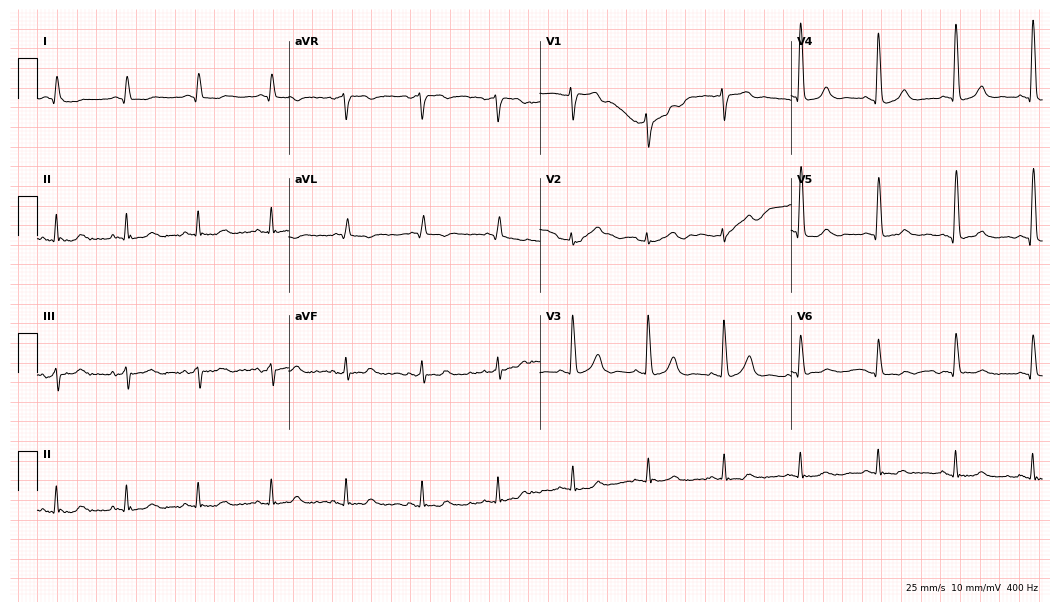
ECG (10.2-second recording at 400 Hz) — a 70-year-old male patient. Screened for six findings — first-degree AV block, right bundle branch block (RBBB), left bundle branch block (LBBB), sinus bradycardia, atrial fibrillation (AF), sinus tachycardia — none is recorded.